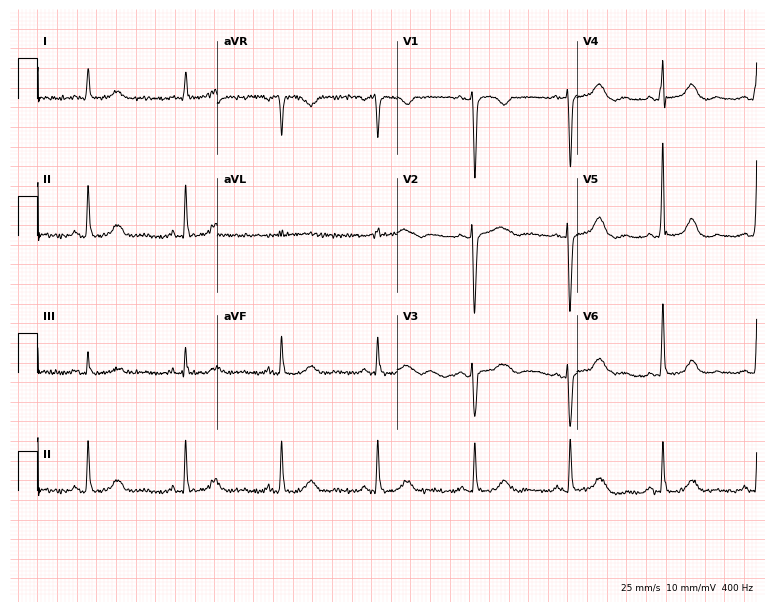
Resting 12-lead electrocardiogram. Patient: a 79-year-old female. Read as a normal ECG.